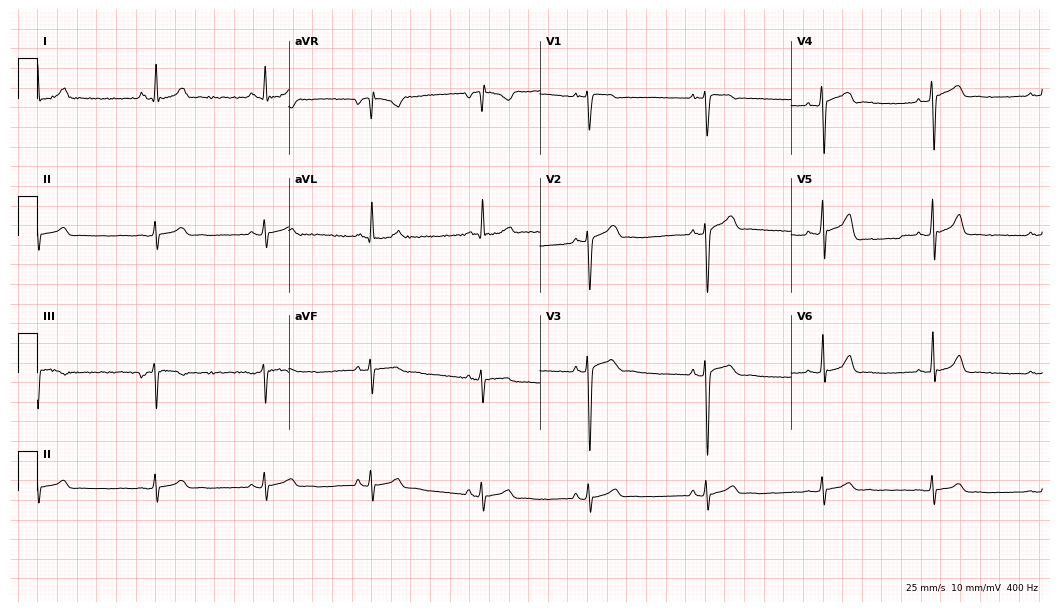
Standard 12-lead ECG recorded from a 30-year-old male. Read as a normal ECG.